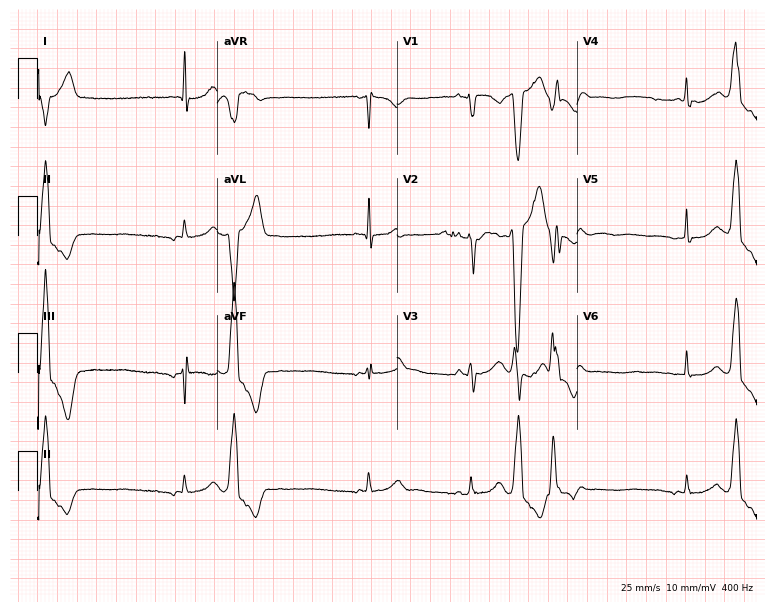
12-lead ECG from a 40-year-old male. Screened for six findings — first-degree AV block, right bundle branch block, left bundle branch block, sinus bradycardia, atrial fibrillation, sinus tachycardia — none is recorded.